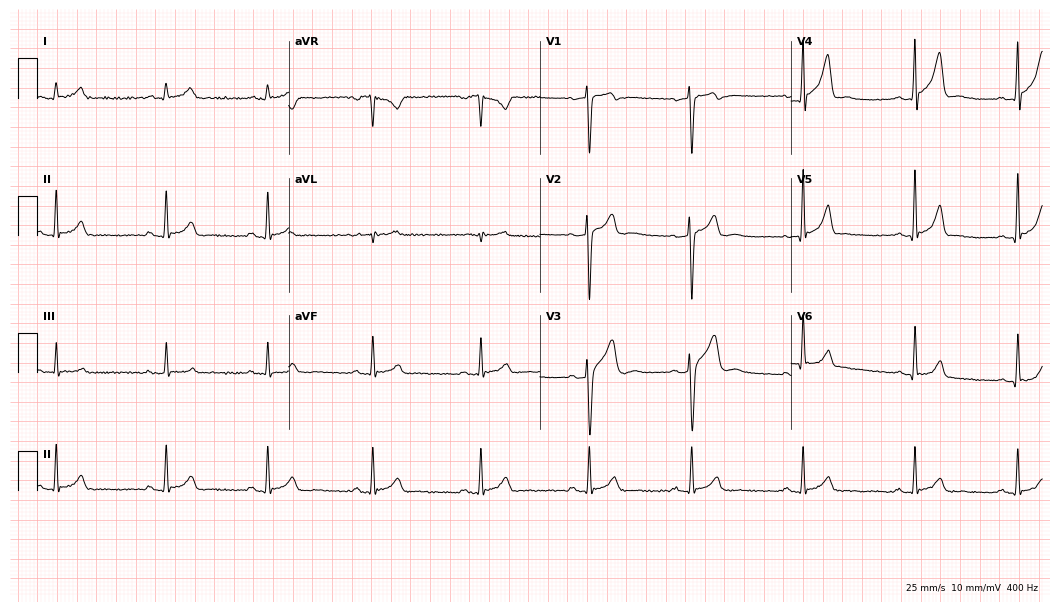
12-lead ECG from a 29-year-old male. Labelled as a normal ECG.